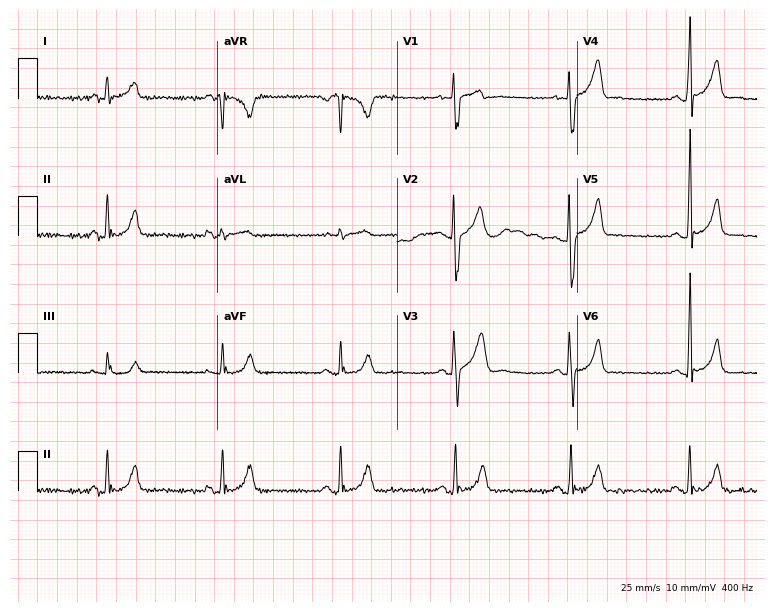
Electrocardiogram (7.3-second recording at 400 Hz), a 27-year-old male patient. Of the six screened findings (first-degree AV block, right bundle branch block, left bundle branch block, sinus bradycardia, atrial fibrillation, sinus tachycardia), none is recorded.